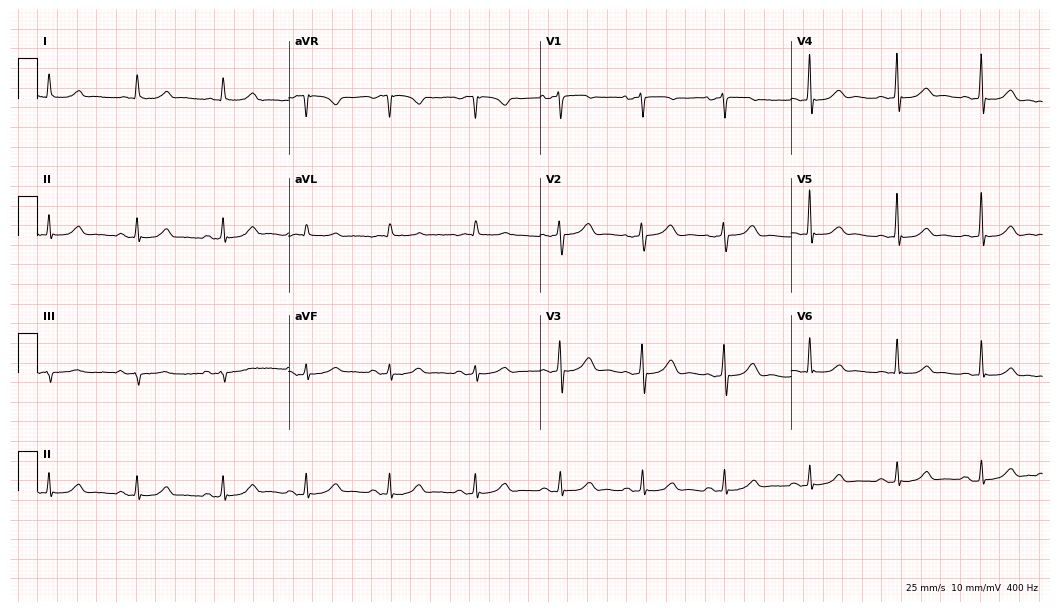
12-lead ECG (10.2-second recording at 400 Hz) from a female, 79 years old. Screened for six findings — first-degree AV block, right bundle branch block, left bundle branch block, sinus bradycardia, atrial fibrillation, sinus tachycardia — none is recorded. Other findings, if any, are not listed.